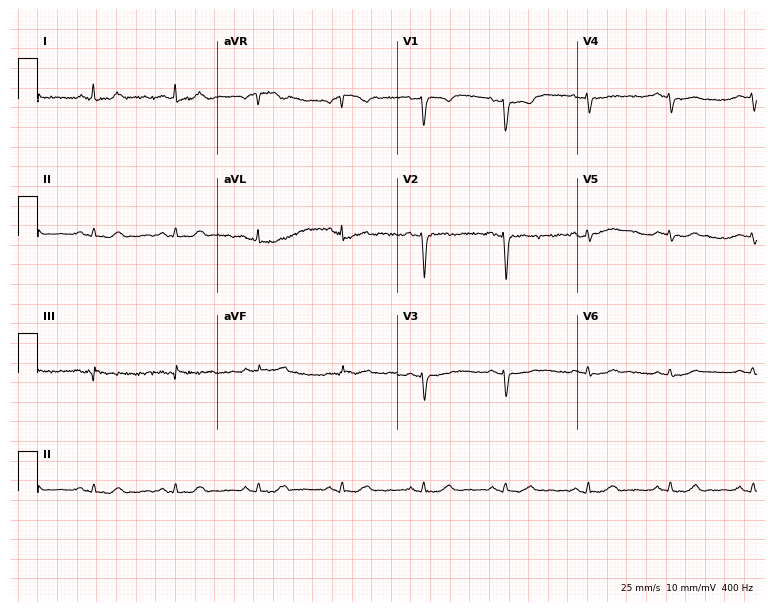
ECG — a 55-year-old woman. Labelled as a normal ECG.